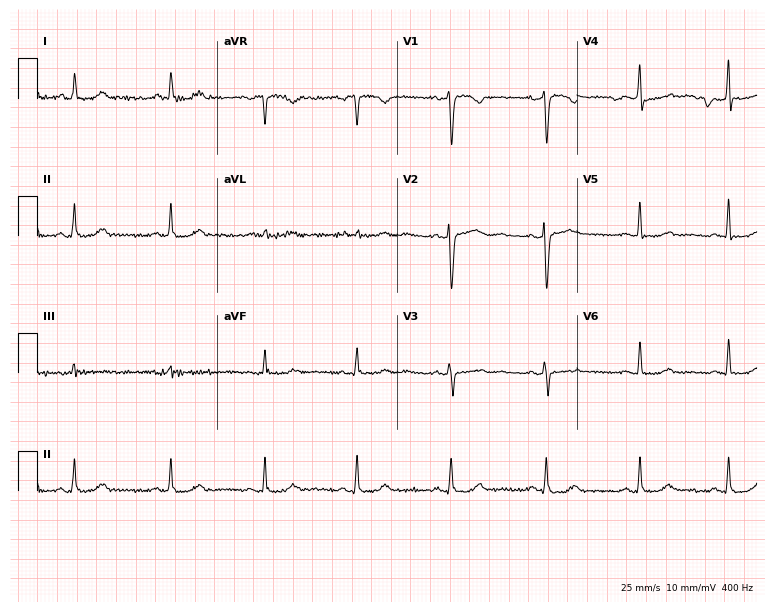
Electrocardiogram (7.3-second recording at 400 Hz), a female patient, 50 years old. Of the six screened findings (first-degree AV block, right bundle branch block (RBBB), left bundle branch block (LBBB), sinus bradycardia, atrial fibrillation (AF), sinus tachycardia), none is recorded. Only these six findings were labelled.